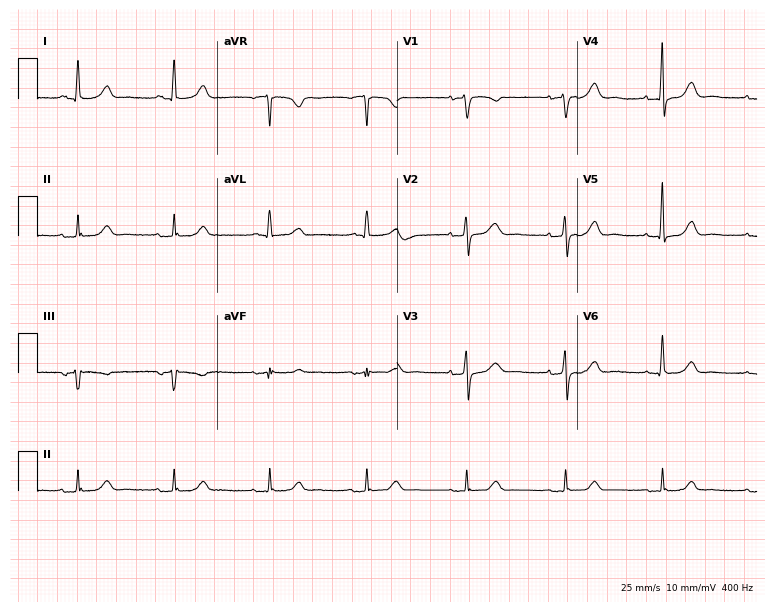
Electrocardiogram (7.3-second recording at 400 Hz), a 61-year-old man. Overall reading on record: normal ECG.